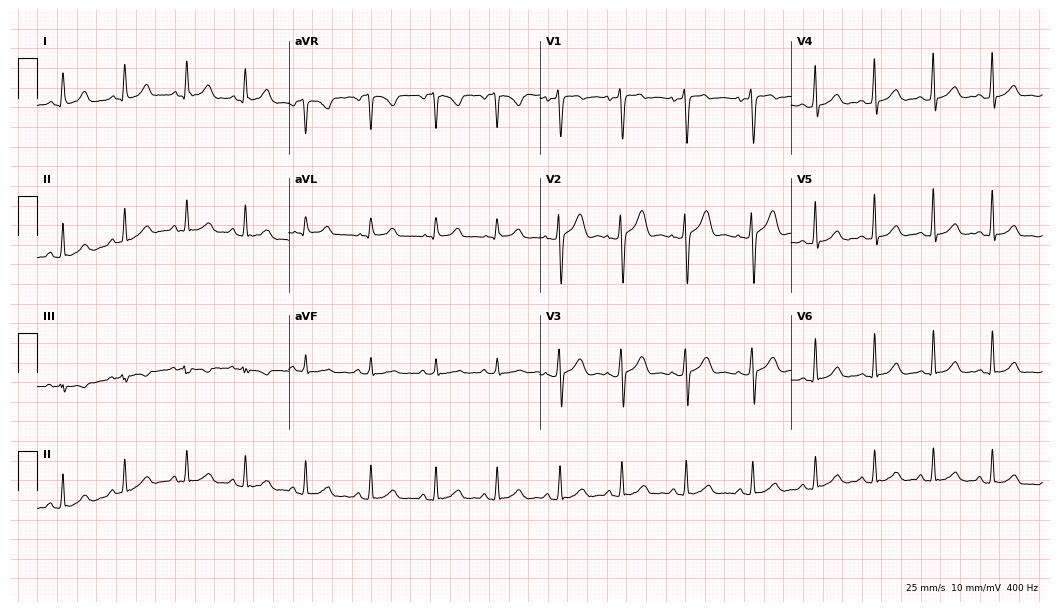
Standard 12-lead ECG recorded from a male patient, 23 years old. Read as a normal ECG.